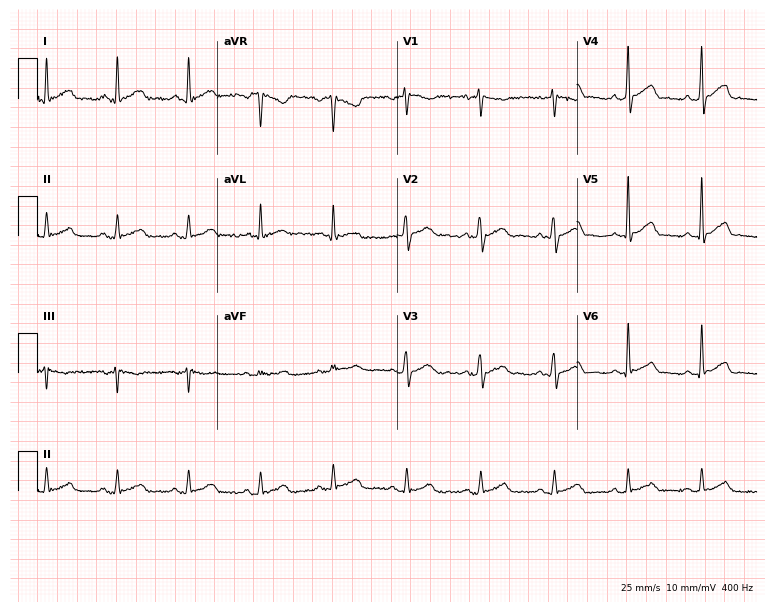
ECG (7.3-second recording at 400 Hz) — a 45-year-old male. Labelled as a normal ECG.